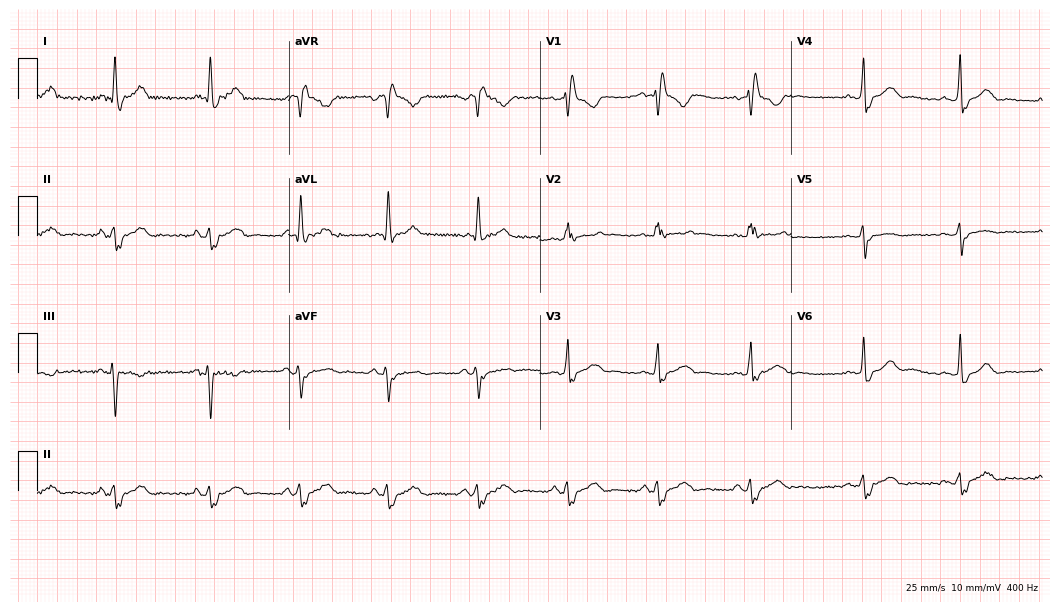
Electrocardiogram, a 63-year-old female patient. Interpretation includes right bundle branch block (RBBB).